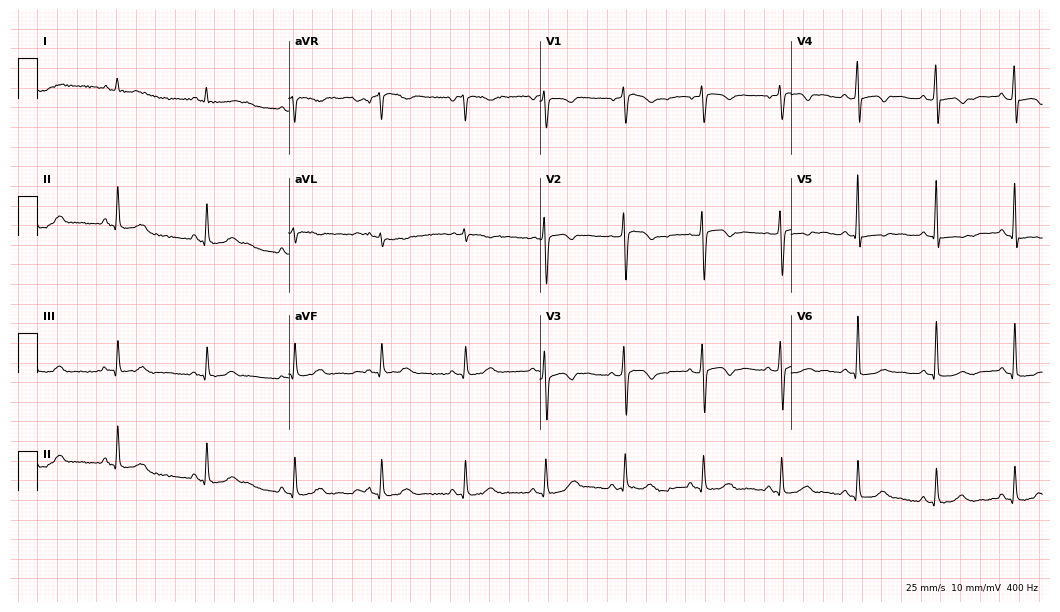
12-lead ECG from a 71-year-old female. No first-degree AV block, right bundle branch block, left bundle branch block, sinus bradycardia, atrial fibrillation or sinus tachycardia recorded for this tracing.